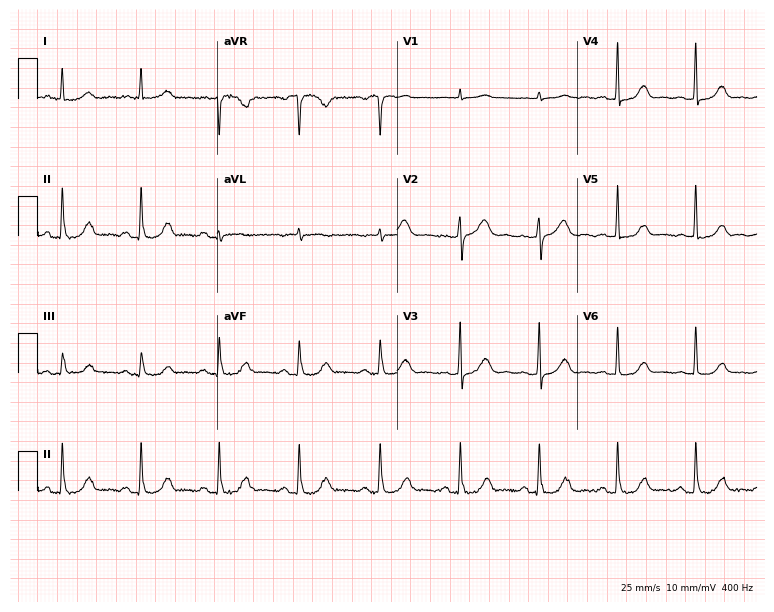
ECG (7.3-second recording at 400 Hz) — a 69-year-old woman. Labelled as a normal ECG.